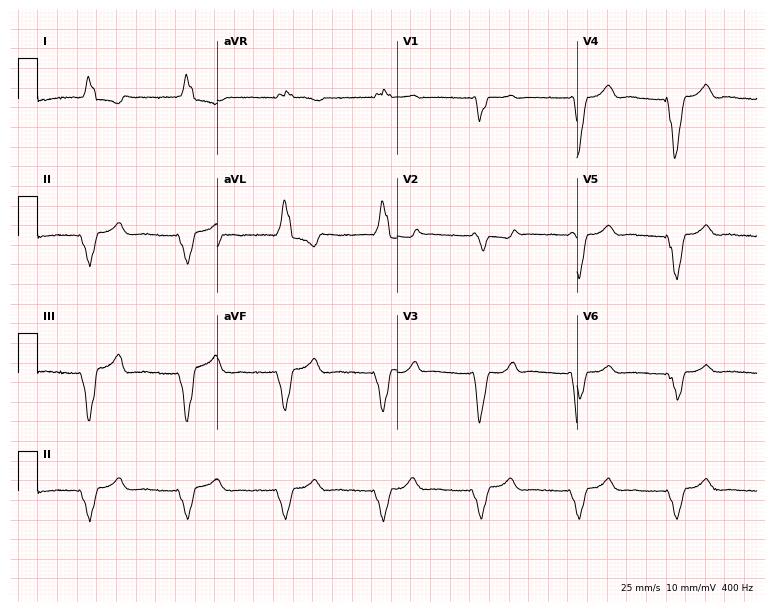
12-lead ECG from a female, 78 years old. No first-degree AV block, right bundle branch block, left bundle branch block, sinus bradycardia, atrial fibrillation or sinus tachycardia recorded for this tracing.